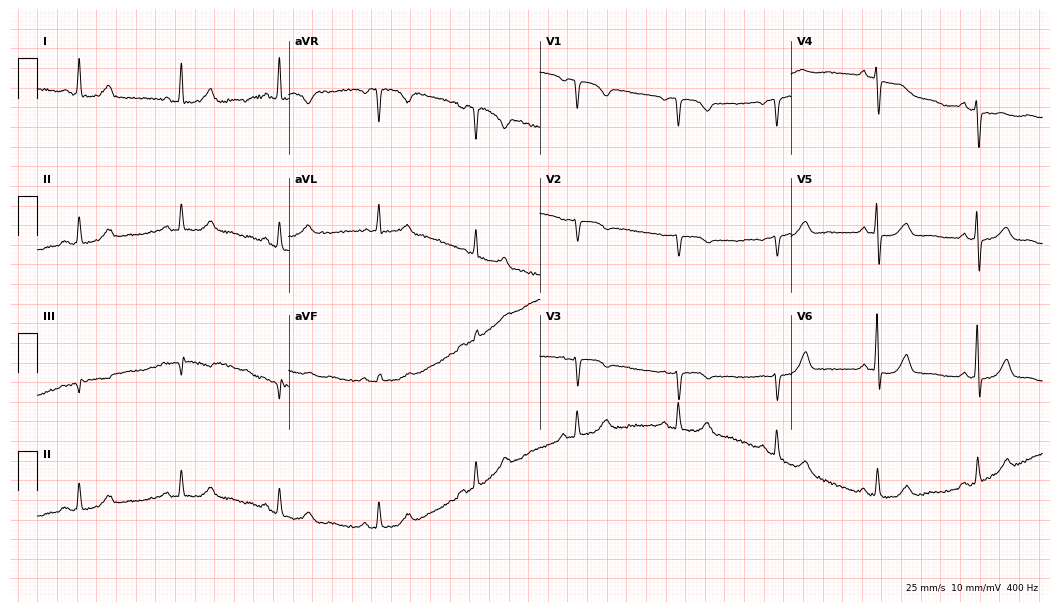
12-lead ECG from a female, 70 years old. Labelled as a normal ECG.